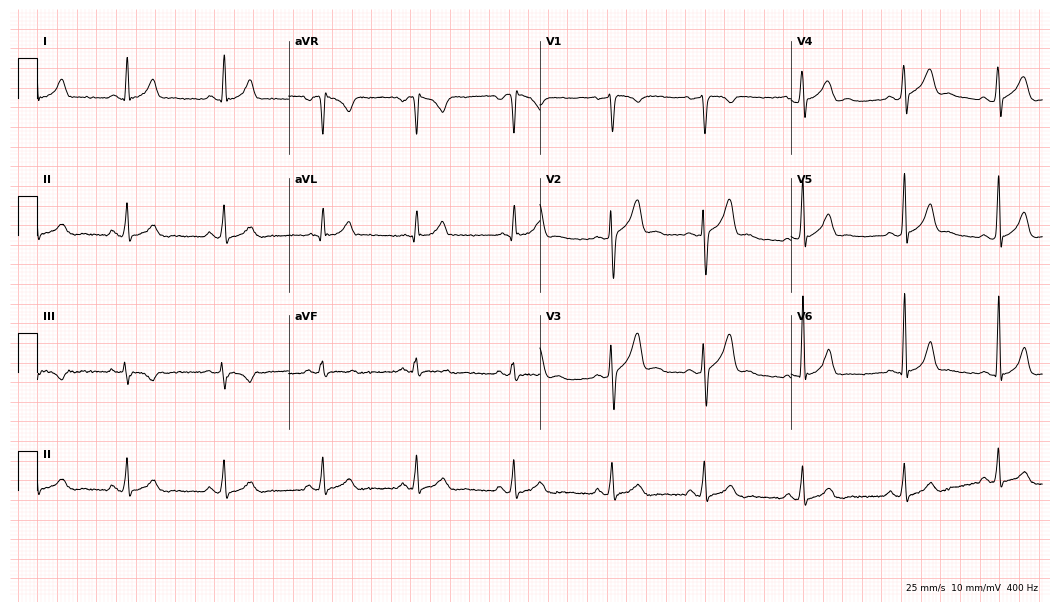
Electrocardiogram, a 27-year-old male patient. Overall reading on record: normal ECG.